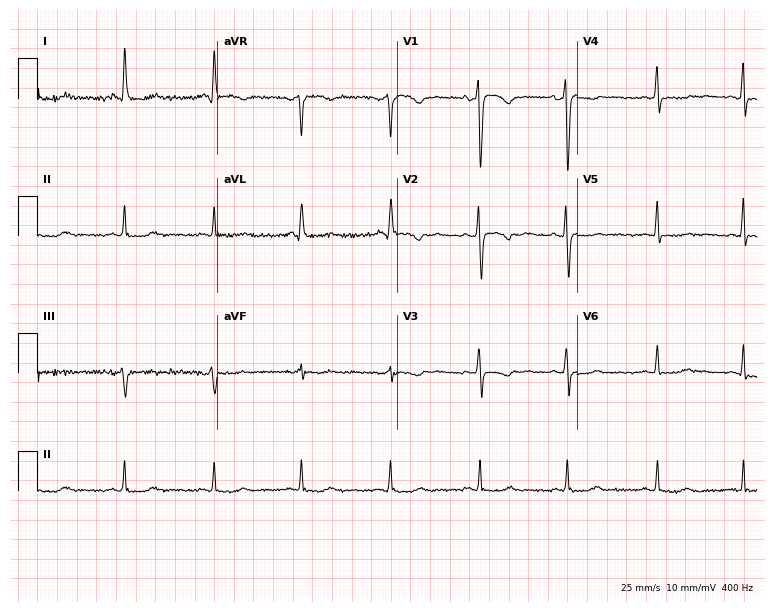
Standard 12-lead ECG recorded from a female, 49 years old. None of these six findings is recorded: first-degree AV block, right bundle branch block (RBBB), left bundle branch block (LBBB), sinus bradycardia, atrial fibrillation (AF), sinus tachycardia.